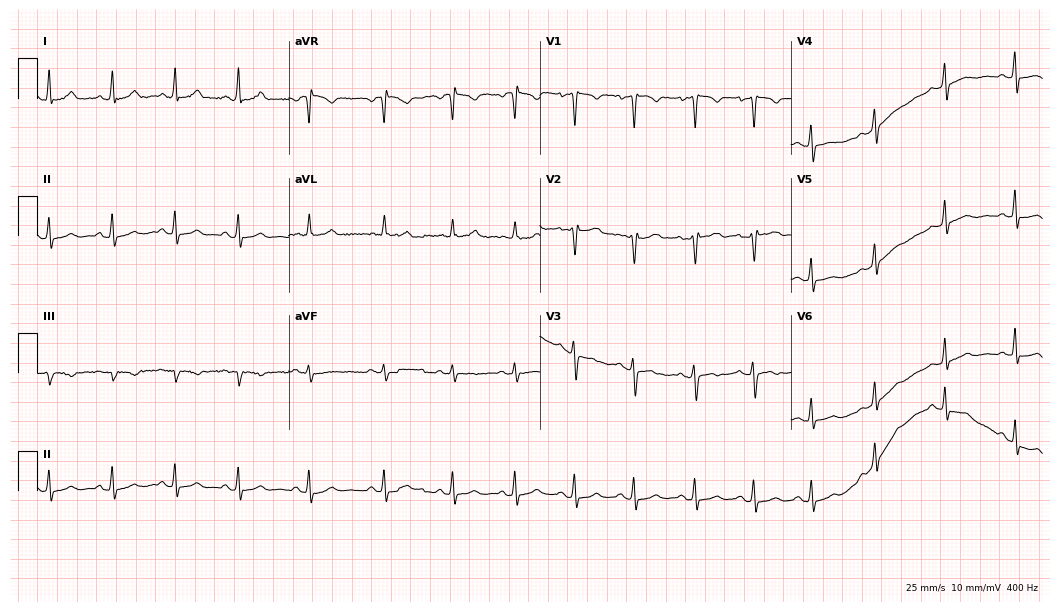
12-lead ECG from a female patient, 31 years old (10.2-second recording at 400 Hz). Recorded interpretation: within normal limits.